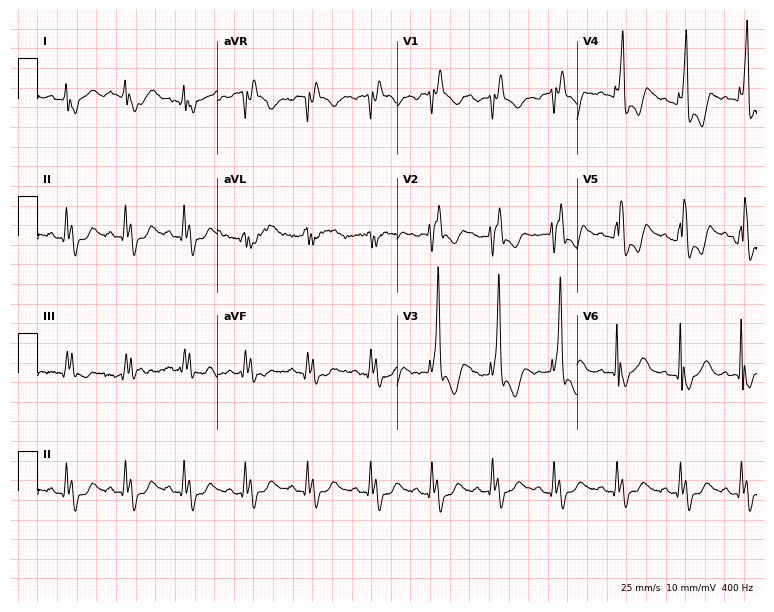
Standard 12-lead ECG recorded from a 23-year-old female. The tracing shows right bundle branch block.